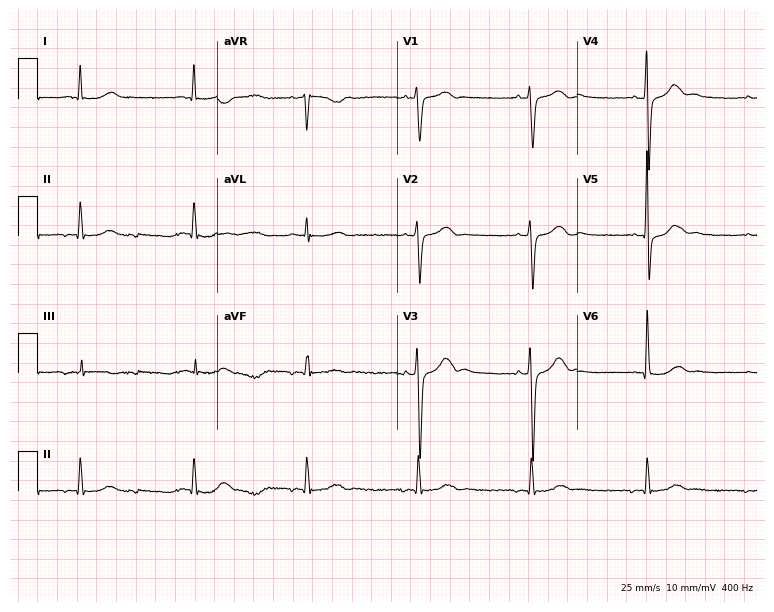
12-lead ECG from a 73-year-old male patient. Labelled as a normal ECG.